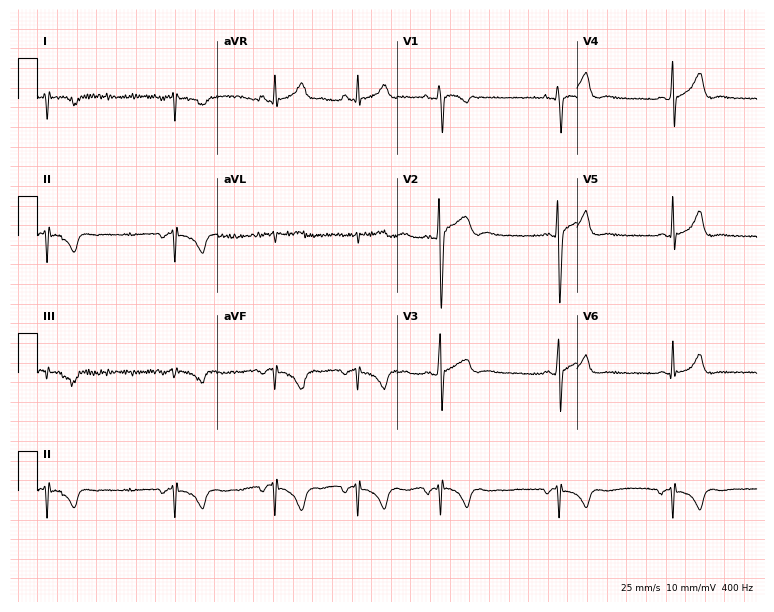
Standard 12-lead ECG recorded from a male patient, 22 years old. None of these six findings is recorded: first-degree AV block, right bundle branch block (RBBB), left bundle branch block (LBBB), sinus bradycardia, atrial fibrillation (AF), sinus tachycardia.